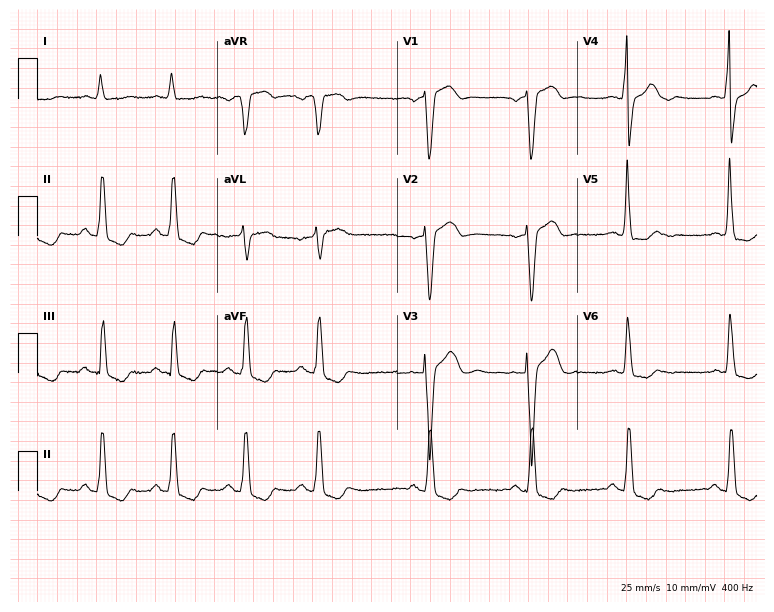
ECG — a 79-year-old male patient. Screened for six findings — first-degree AV block, right bundle branch block (RBBB), left bundle branch block (LBBB), sinus bradycardia, atrial fibrillation (AF), sinus tachycardia — none is recorded. Only these six findings were labelled.